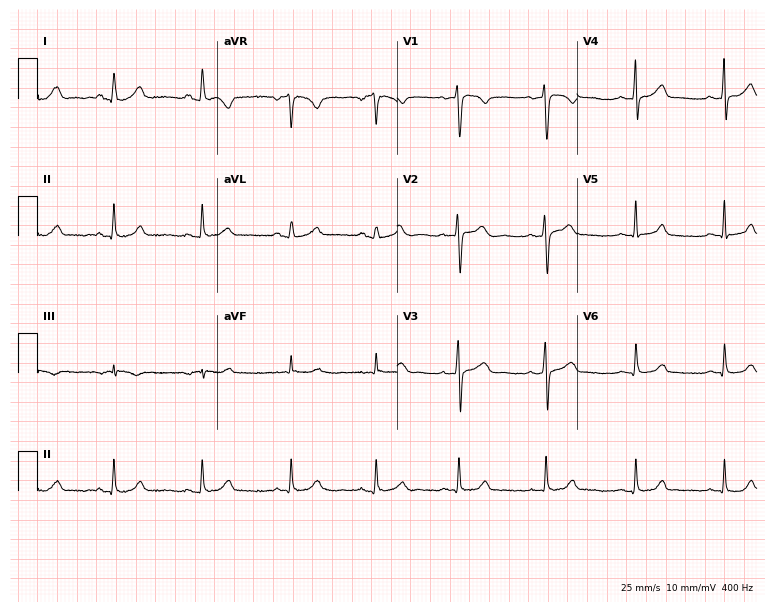
12-lead ECG from a woman, 41 years old (7.3-second recording at 400 Hz). Recorded interpretation: within normal limits.